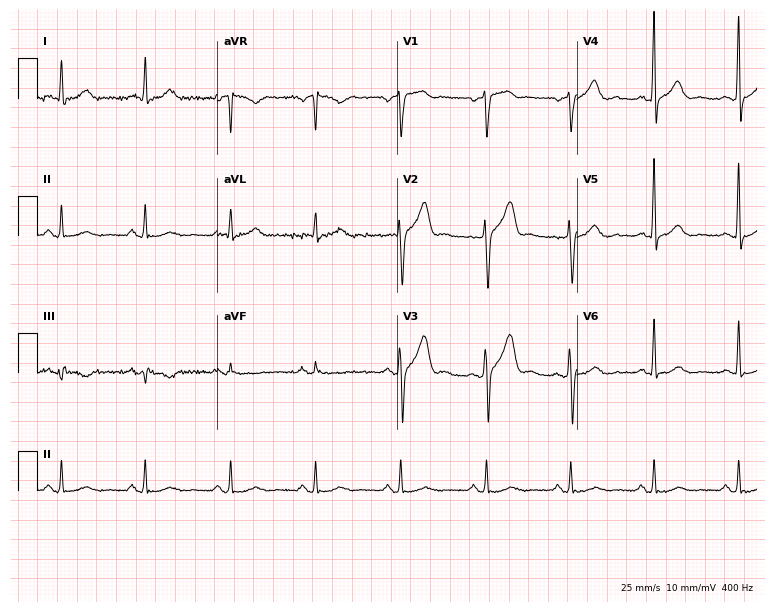
12-lead ECG (7.3-second recording at 400 Hz) from a 55-year-old male patient. Labelled as a normal ECG.